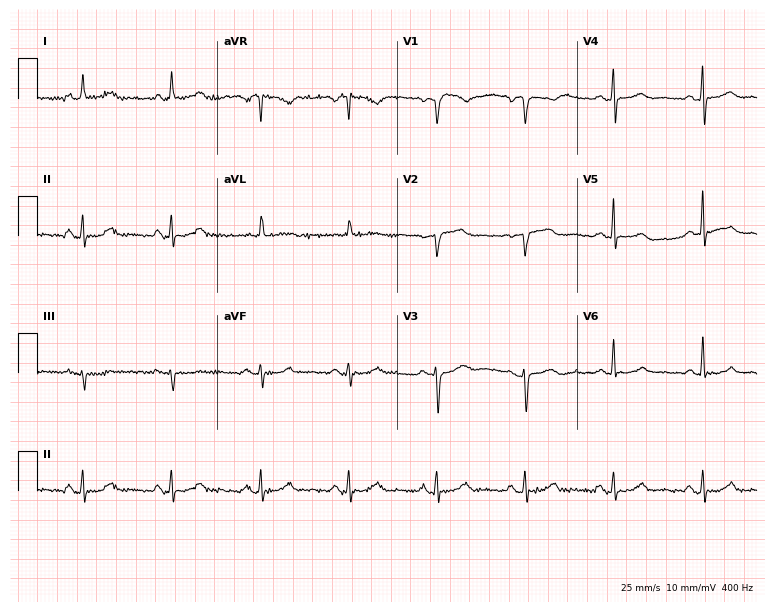
Standard 12-lead ECG recorded from a woman, 68 years old (7.3-second recording at 400 Hz). Read as a normal ECG.